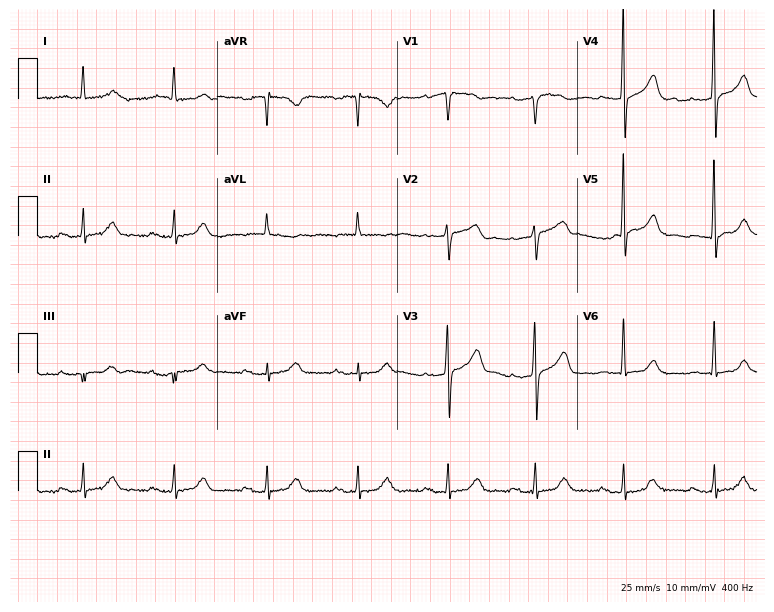
Electrocardiogram (7.3-second recording at 400 Hz), an 81-year-old male. Overall reading on record: normal ECG.